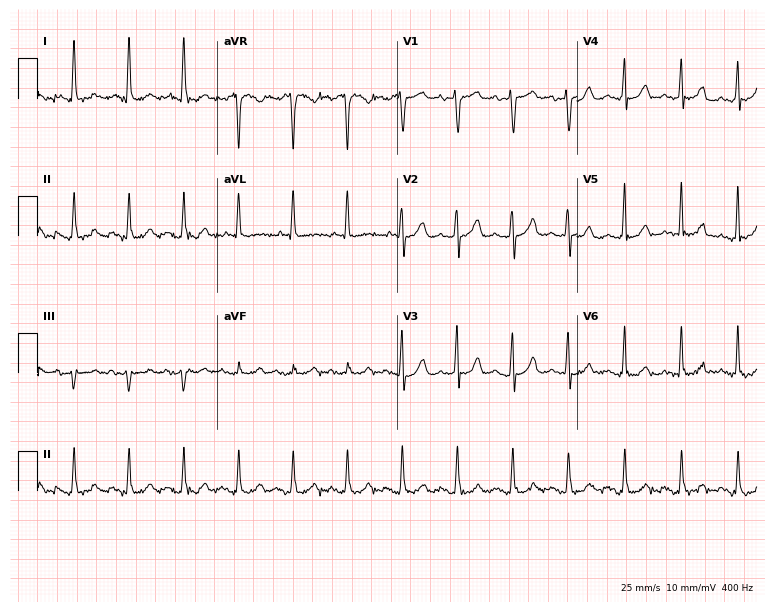
12-lead ECG from a female patient, 81 years old. No first-degree AV block, right bundle branch block, left bundle branch block, sinus bradycardia, atrial fibrillation or sinus tachycardia recorded for this tracing. Other findings, if any, are not listed.